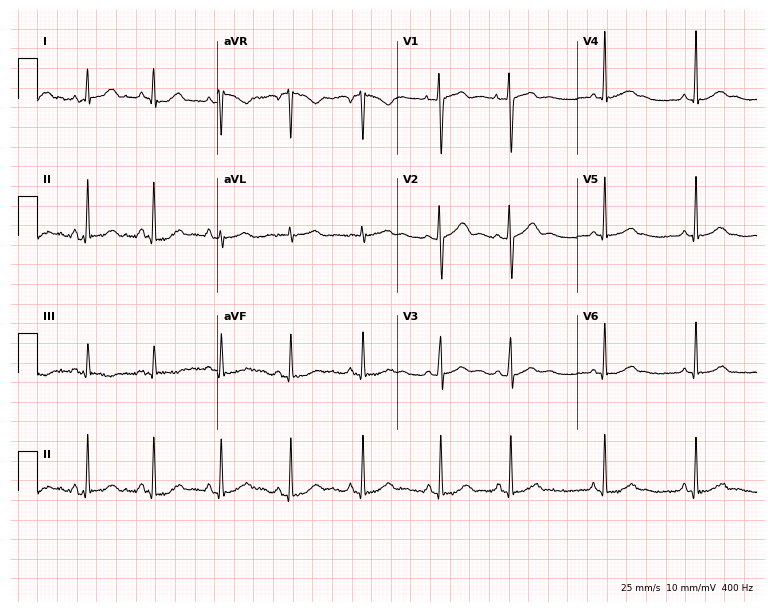
ECG — an 18-year-old female patient. Labelled as a normal ECG.